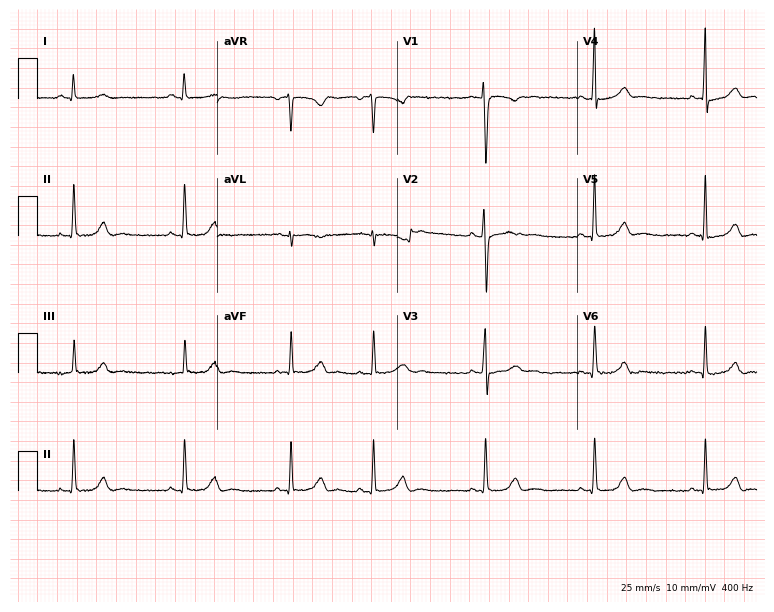
Resting 12-lead electrocardiogram (7.3-second recording at 400 Hz). Patient: a female, 17 years old. Read as a normal ECG.